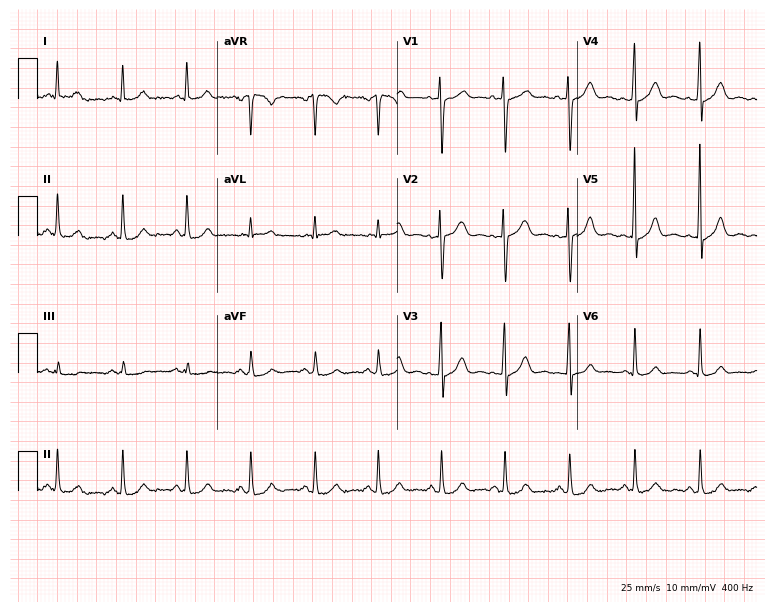
Resting 12-lead electrocardiogram. Patient: a 41-year-old female. None of these six findings is recorded: first-degree AV block, right bundle branch block, left bundle branch block, sinus bradycardia, atrial fibrillation, sinus tachycardia. Other findings, if any, are not listed.